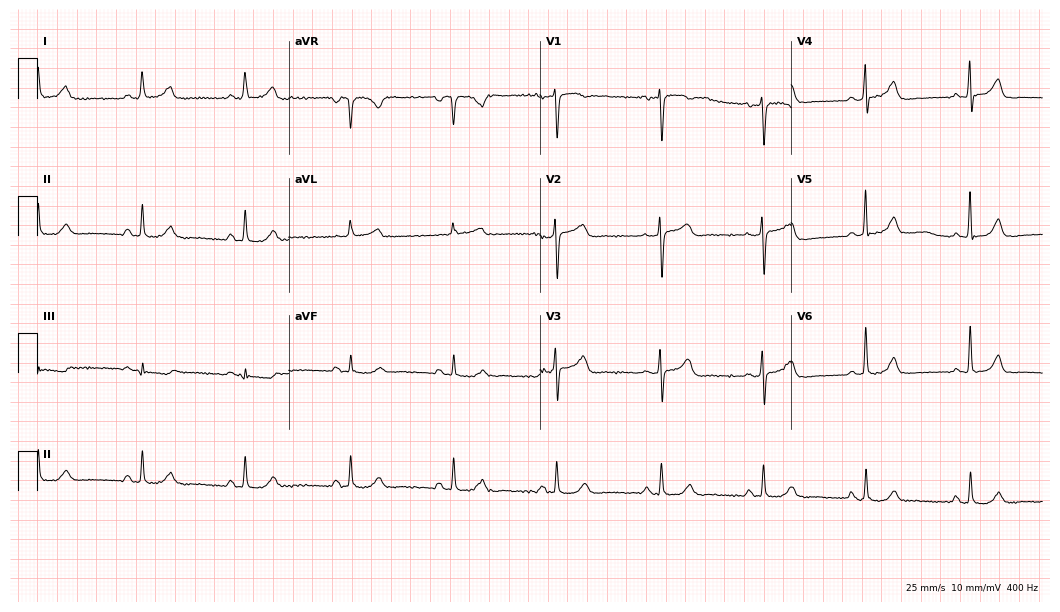
Standard 12-lead ECG recorded from a 61-year-old female (10.2-second recording at 400 Hz). None of these six findings is recorded: first-degree AV block, right bundle branch block, left bundle branch block, sinus bradycardia, atrial fibrillation, sinus tachycardia. Other findings, if any, are not listed.